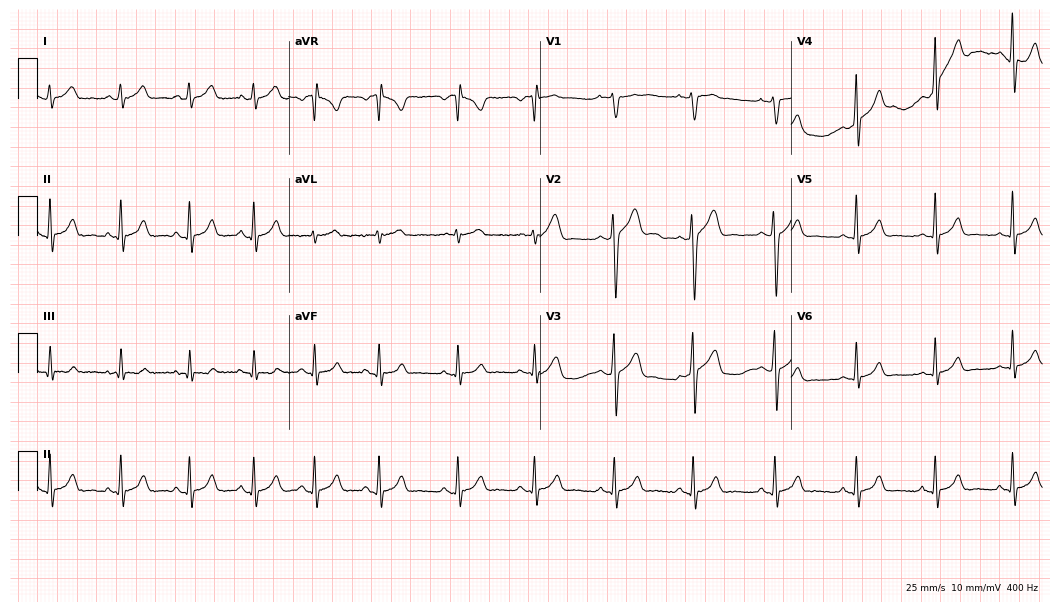
Resting 12-lead electrocardiogram (10.2-second recording at 400 Hz). Patient: a male, 27 years old. None of these six findings is recorded: first-degree AV block, right bundle branch block (RBBB), left bundle branch block (LBBB), sinus bradycardia, atrial fibrillation (AF), sinus tachycardia.